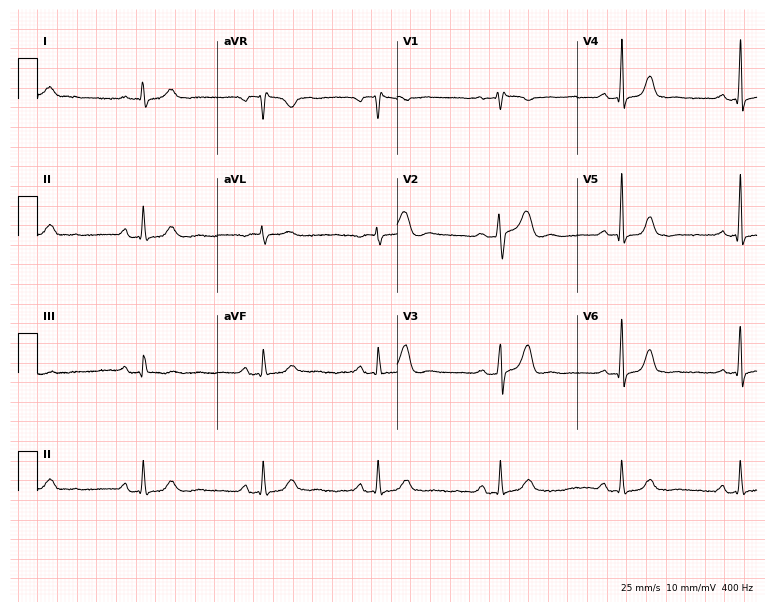
Electrocardiogram (7.3-second recording at 400 Hz), a female, 52 years old. Interpretation includes sinus bradycardia (a sinus rate of 50 beats per minute or less).